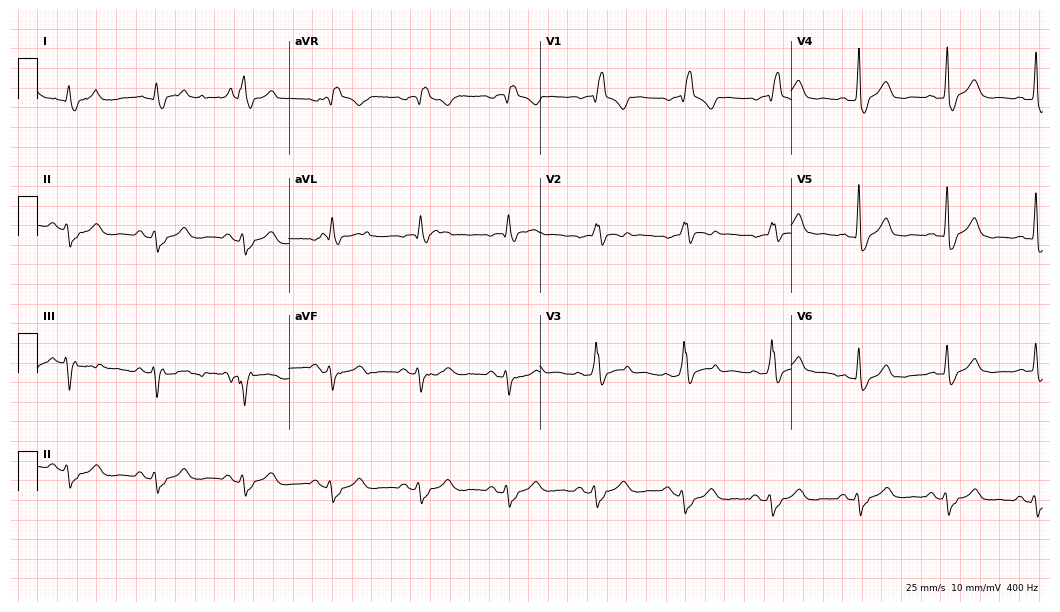
12-lead ECG (10.2-second recording at 400 Hz) from a 77-year-old man. Screened for six findings — first-degree AV block, right bundle branch block, left bundle branch block, sinus bradycardia, atrial fibrillation, sinus tachycardia — none is recorded.